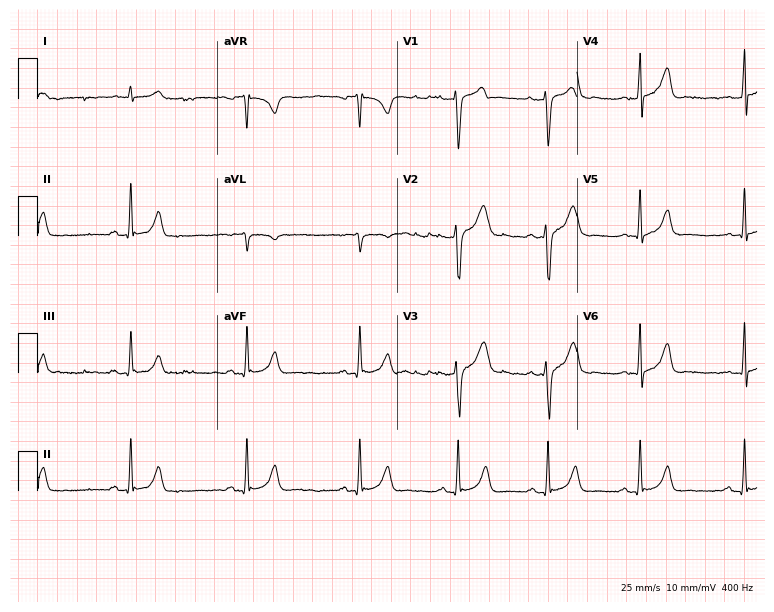
12-lead ECG from a 28-year-old male. Recorded interpretation: within normal limits.